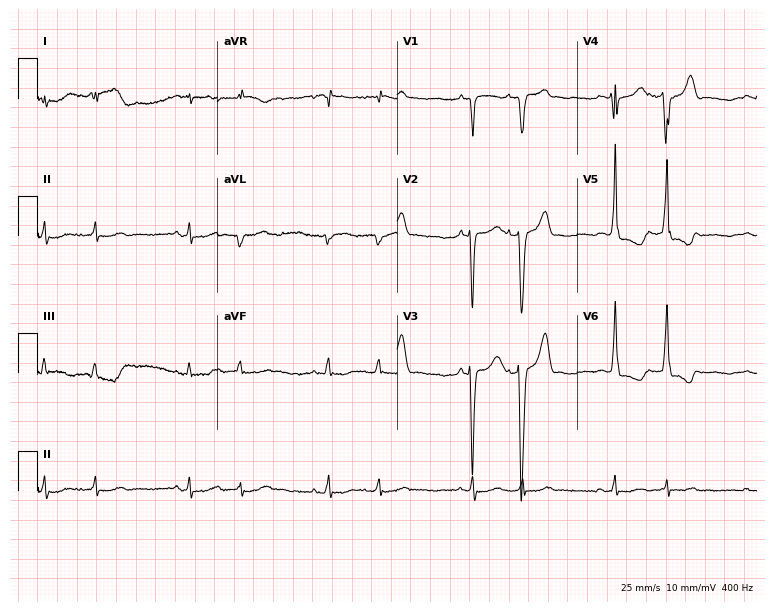
12-lead ECG (7.3-second recording at 400 Hz) from an 84-year-old woman. Screened for six findings — first-degree AV block, right bundle branch block, left bundle branch block, sinus bradycardia, atrial fibrillation, sinus tachycardia — none is recorded. Only these six findings were labelled.